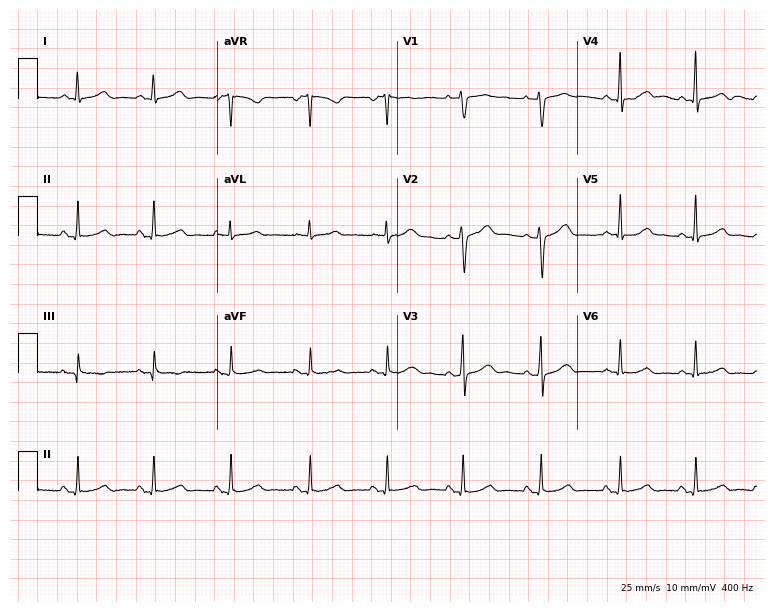
12-lead ECG from a 40-year-old female patient (7.3-second recording at 400 Hz). Recorded interpretation: within normal limits.